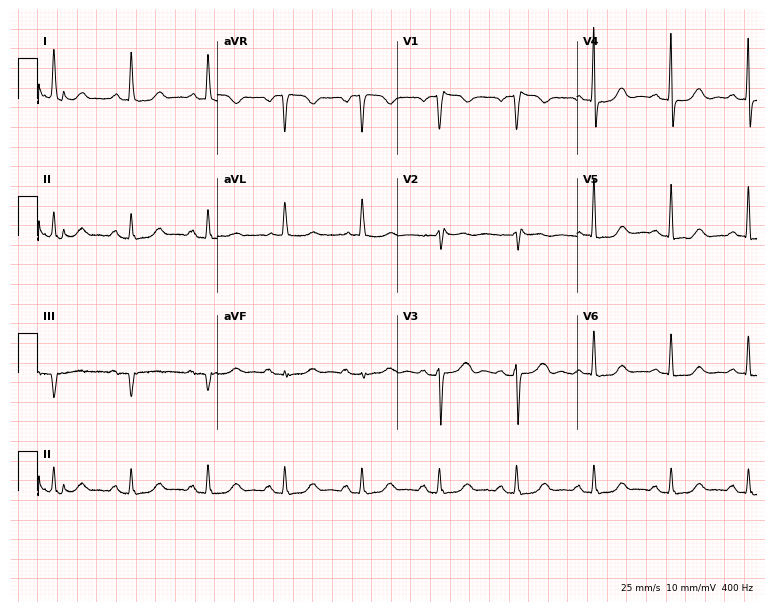
12-lead ECG (7.3-second recording at 400 Hz) from a female patient, 85 years old. Screened for six findings — first-degree AV block, right bundle branch block, left bundle branch block, sinus bradycardia, atrial fibrillation, sinus tachycardia — none is recorded.